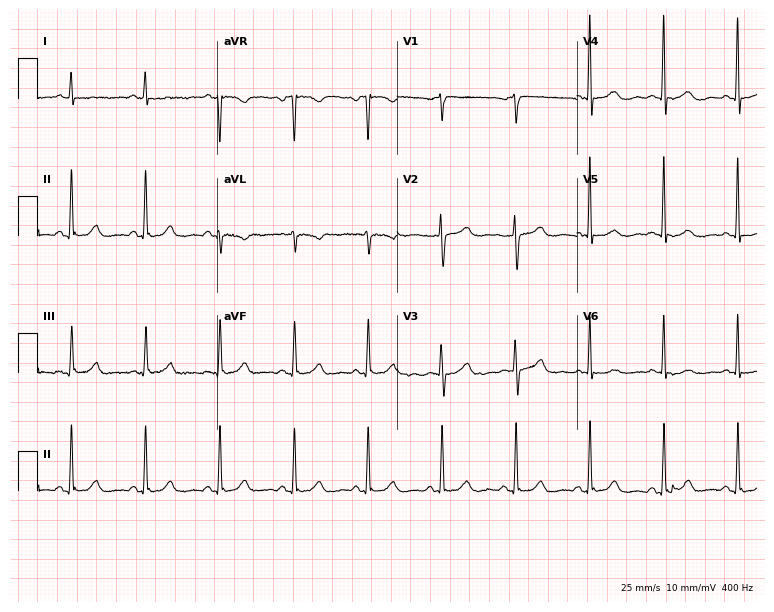
ECG (7.3-second recording at 400 Hz) — a 62-year-old female patient. Screened for six findings — first-degree AV block, right bundle branch block, left bundle branch block, sinus bradycardia, atrial fibrillation, sinus tachycardia — none is recorded.